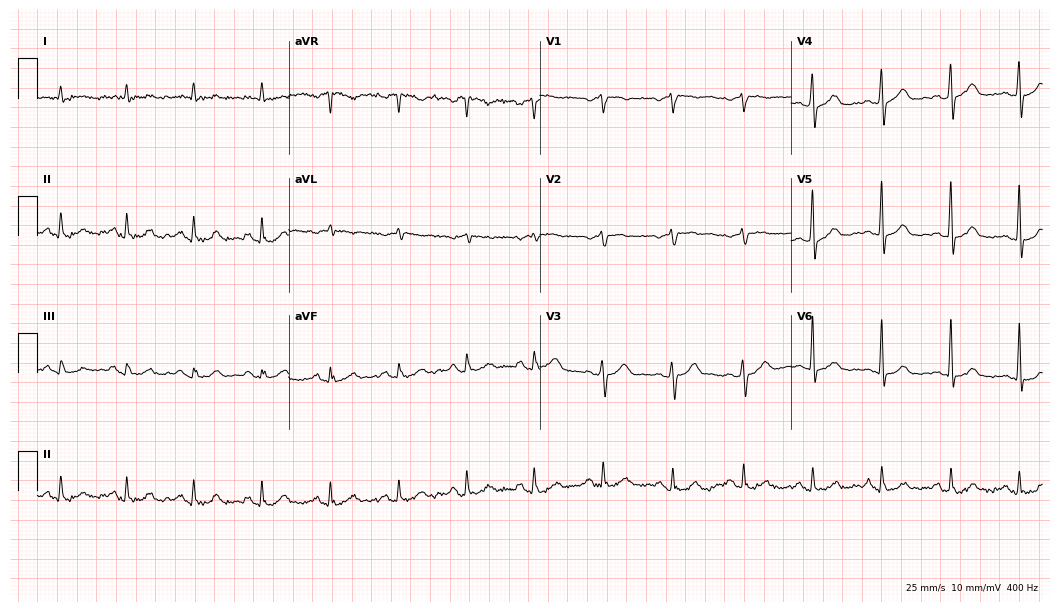
12-lead ECG from a 79-year-old man. Labelled as a normal ECG.